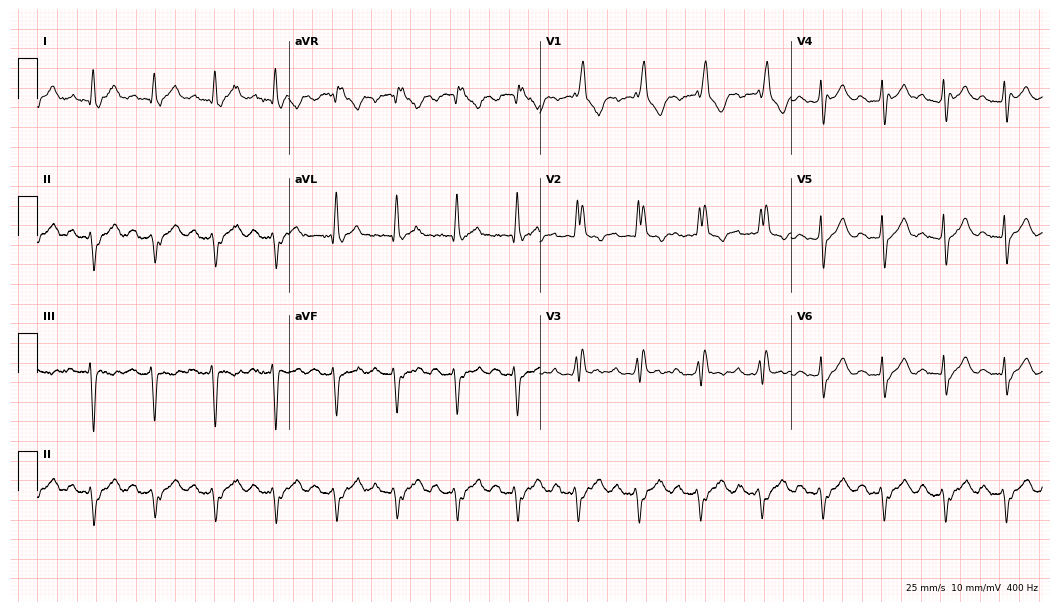
Resting 12-lead electrocardiogram (10.2-second recording at 400 Hz). Patient: a 63-year-old man. The tracing shows first-degree AV block, right bundle branch block.